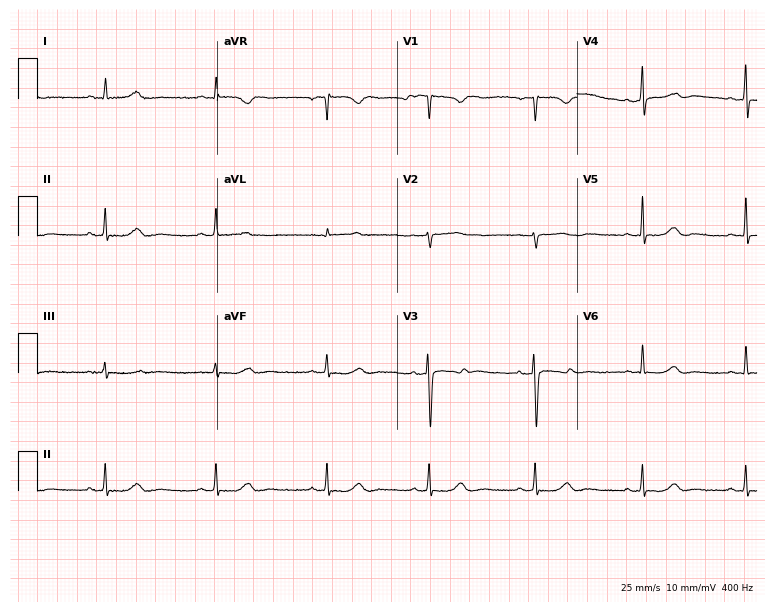
Resting 12-lead electrocardiogram. Patient: a 54-year-old female. Read as a normal ECG.